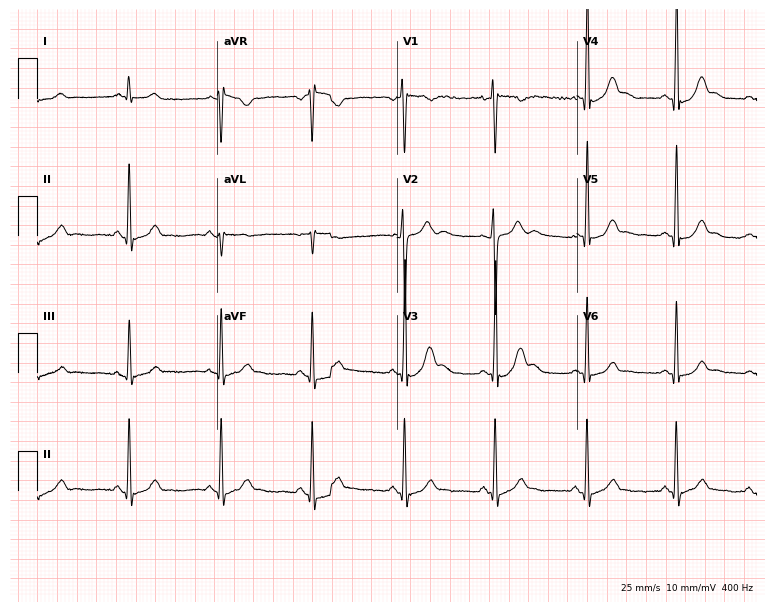
Standard 12-lead ECG recorded from a man, 22 years old (7.3-second recording at 400 Hz). Read as a normal ECG.